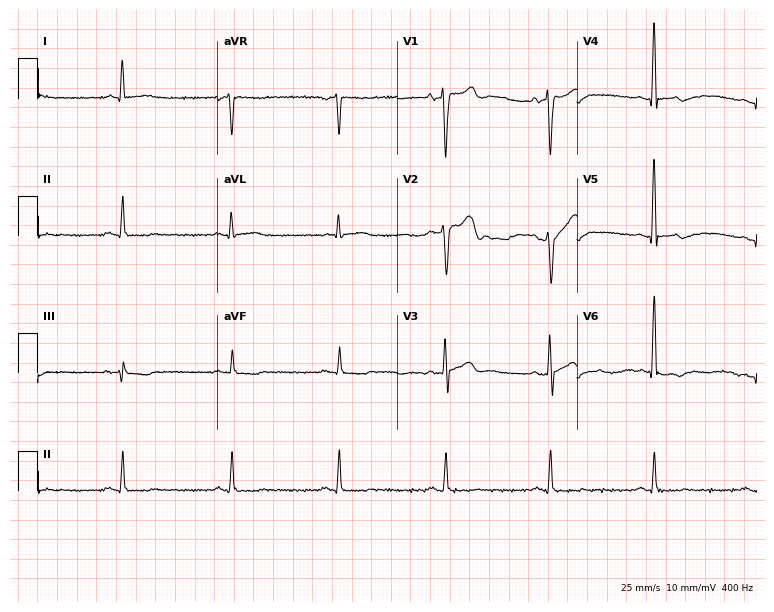
Standard 12-lead ECG recorded from a male, 52 years old (7.3-second recording at 400 Hz). None of these six findings is recorded: first-degree AV block, right bundle branch block, left bundle branch block, sinus bradycardia, atrial fibrillation, sinus tachycardia.